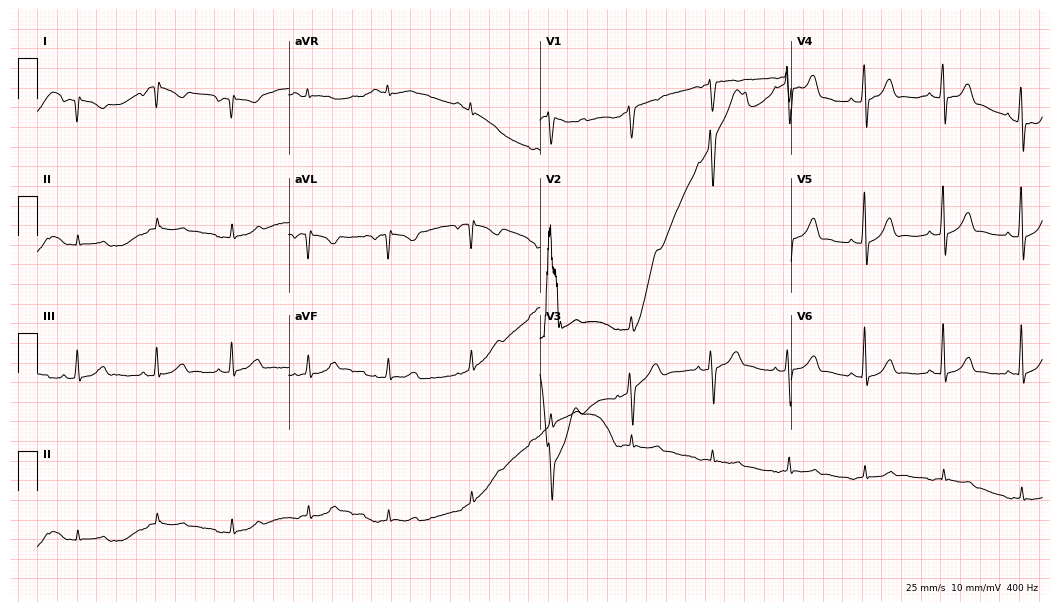
Resting 12-lead electrocardiogram (10.2-second recording at 400 Hz). Patient: a 24-year-old woman. None of these six findings is recorded: first-degree AV block, right bundle branch block, left bundle branch block, sinus bradycardia, atrial fibrillation, sinus tachycardia. Other findings, if any, are not listed.